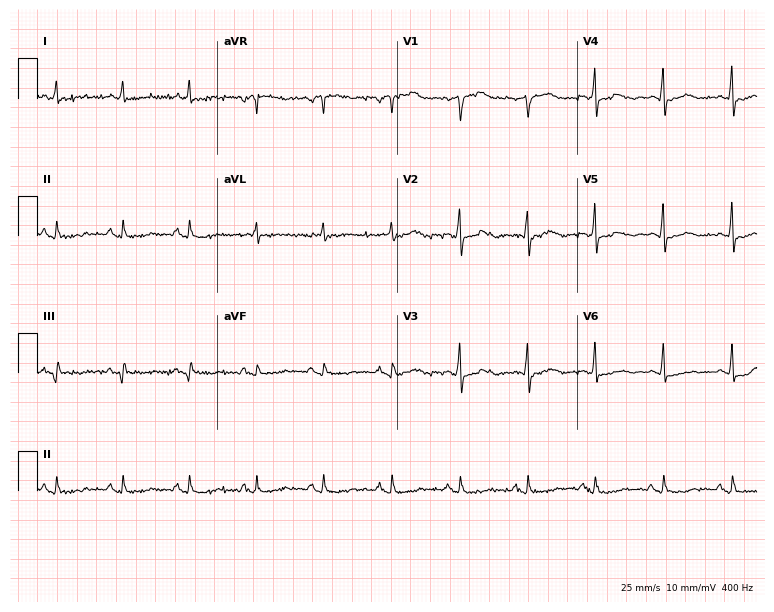
12-lead ECG from a female, 73 years old (7.3-second recording at 400 Hz). No first-degree AV block, right bundle branch block (RBBB), left bundle branch block (LBBB), sinus bradycardia, atrial fibrillation (AF) or sinus tachycardia recorded for this tracing.